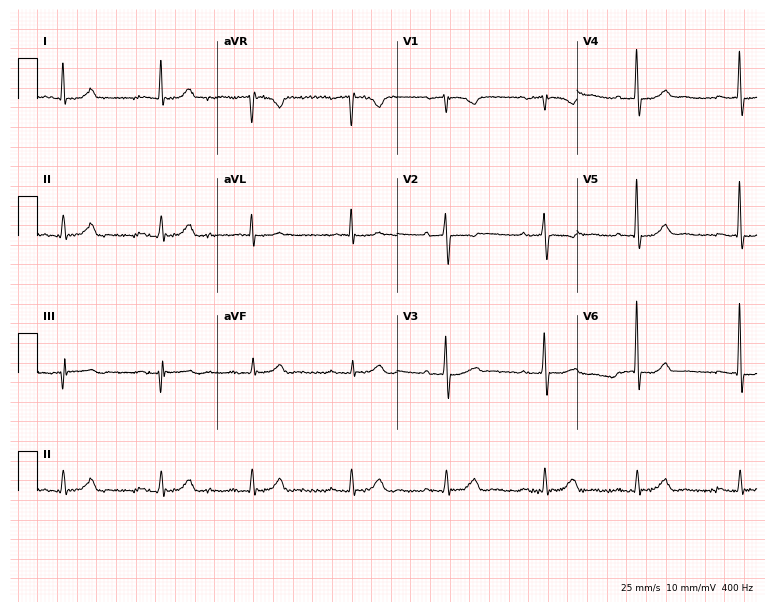
Electrocardiogram, a male patient, 71 years old. Overall reading on record: normal ECG.